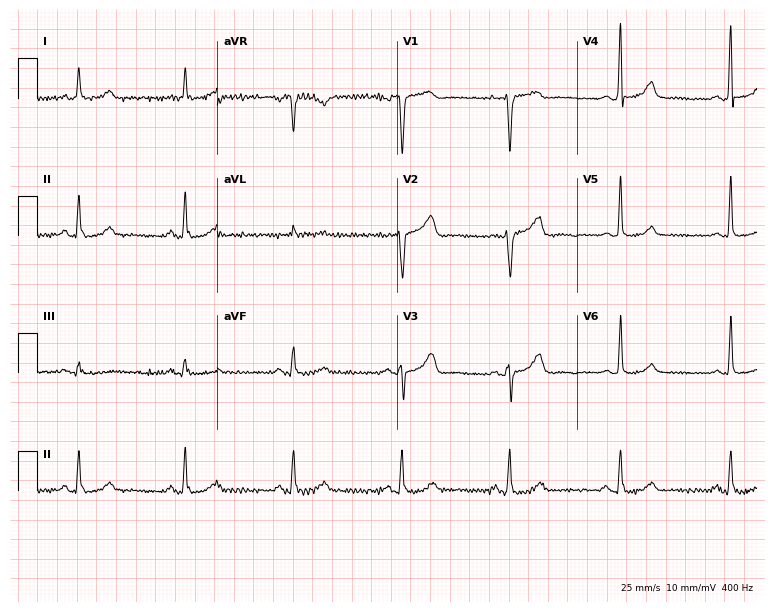
ECG — a female patient, 61 years old. Labelled as a normal ECG.